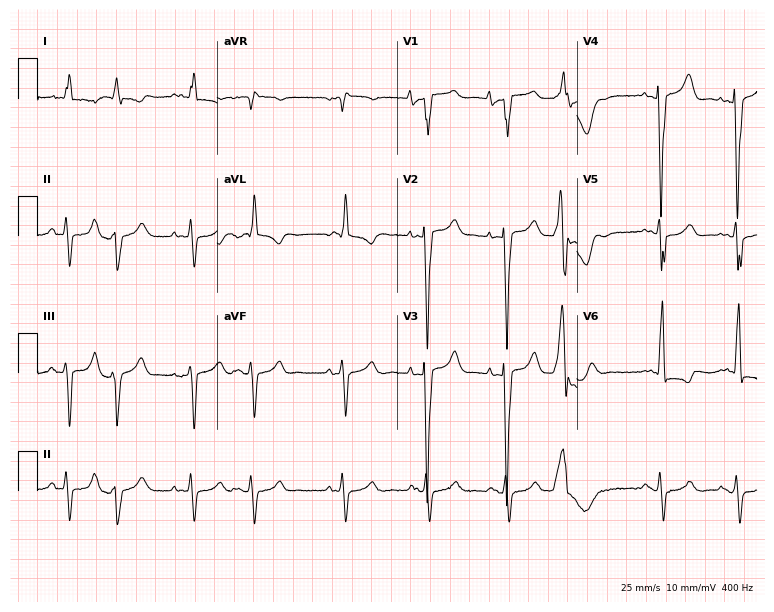
12-lead ECG (7.3-second recording at 400 Hz) from a female, 82 years old. Screened for six findings — first-degree AV block, right bundle branch block, left bundle branch block, sinus bradycardia, atrial fibrillation, sinus tachycardia — none is recorded. Findings outside these six are not listed.